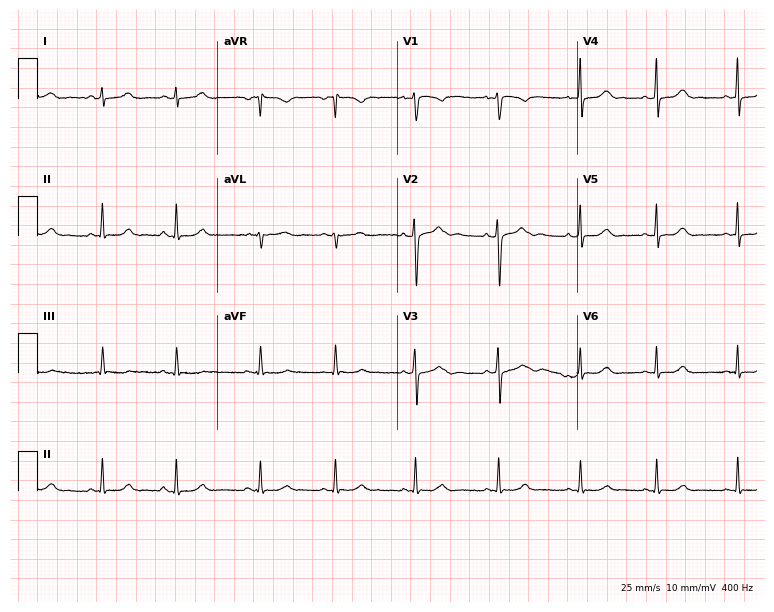
Resting 12-lead electrocardiogram. Patient: a female, 20 years old. None of these six findings is recorded: first-degree AV block, right bundle branch block, left bundle branch block, sinus bradycardia, atrial fibrillation, sinus tachycardia. Other findings, if any, are not listed.